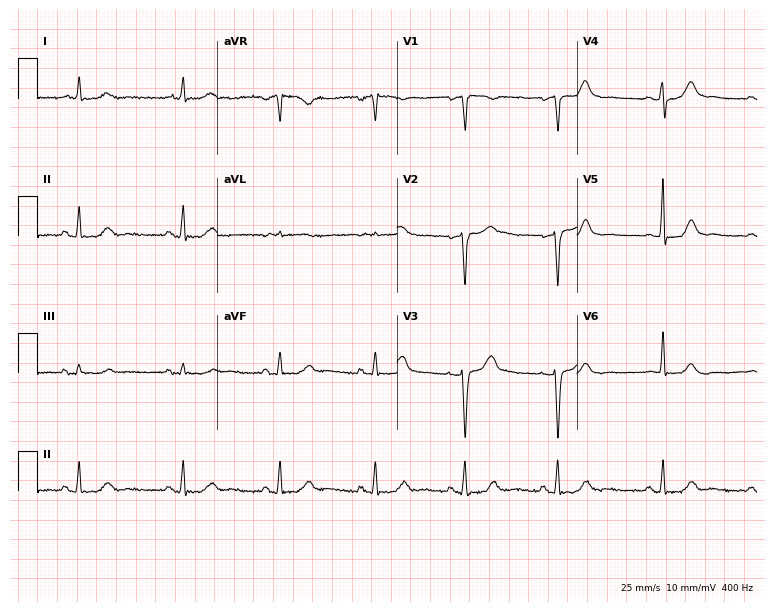
12-lead ECG from a 39-year-old female. Screened for six findings — first-degree AV block, right bundle branch block, left bundle branch block, sinus bradycardia, atrial fibrillation, sinus tachycardia — none is recorded.